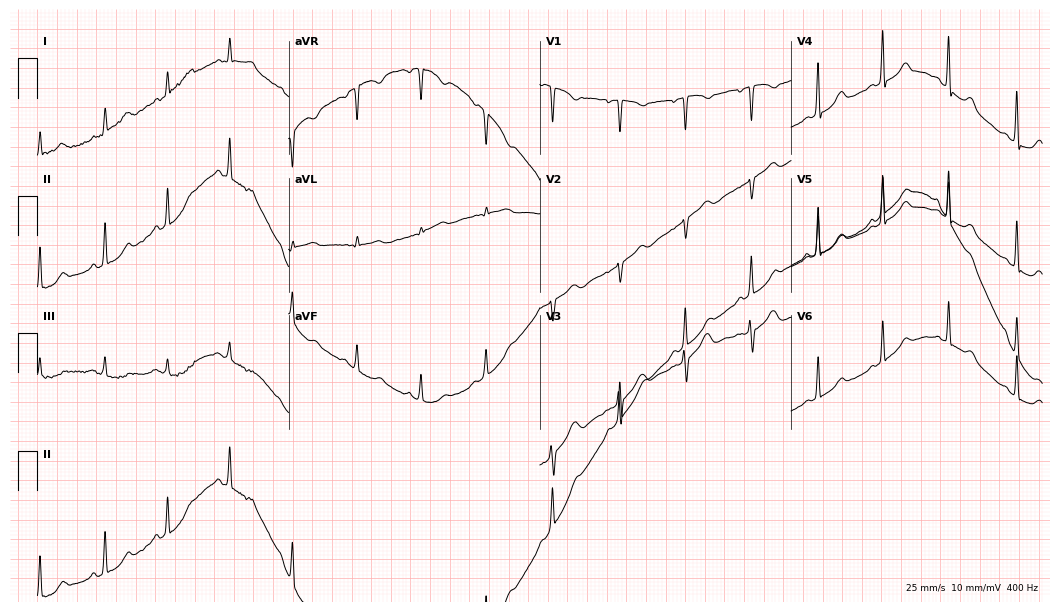
Resting 12-lead electrocardiogram (10.2-second recording at 400 Hz). Patient: a 36-year-old woman. None of these six findings is recorded: first-degree AV block, right bundle branch block, left bundle branch block, sinus bradycardia, atrial fibrillation, sinus tachycardia. Findings outside these six are not listed.